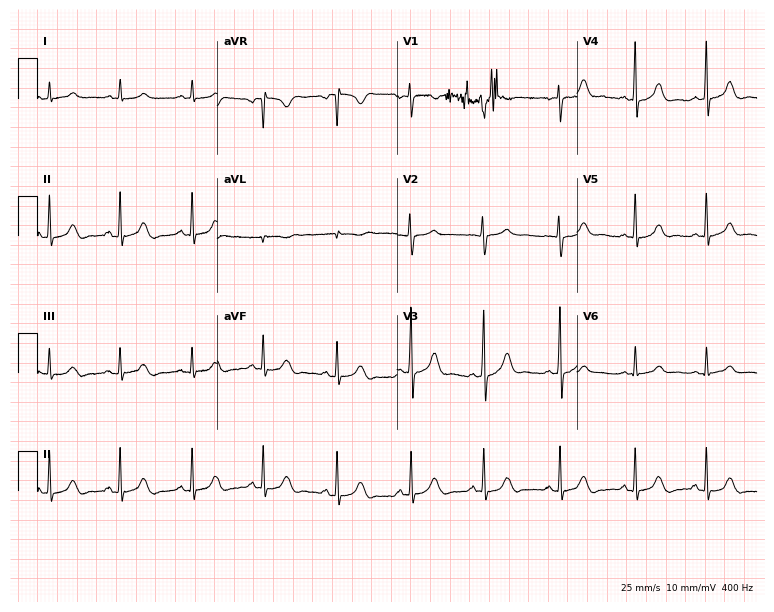
Electrocardiogram (7.3-second recording at 400 Hz), a 17-year-old woman. Overall reading on record: normal ECG.